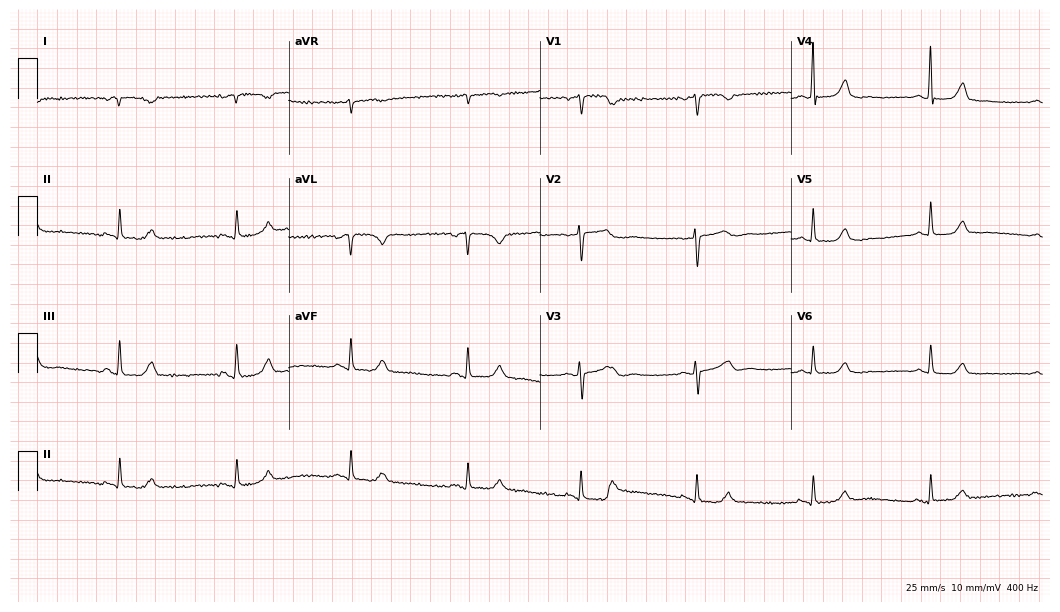
ECG — a 66-year-old female patient. Screened for six findings — first-degree AV block, right bundle branch block, left bundle branch block, sinus bradycardia, atrial fibrillation, sinus tachycardia — none is recorded.